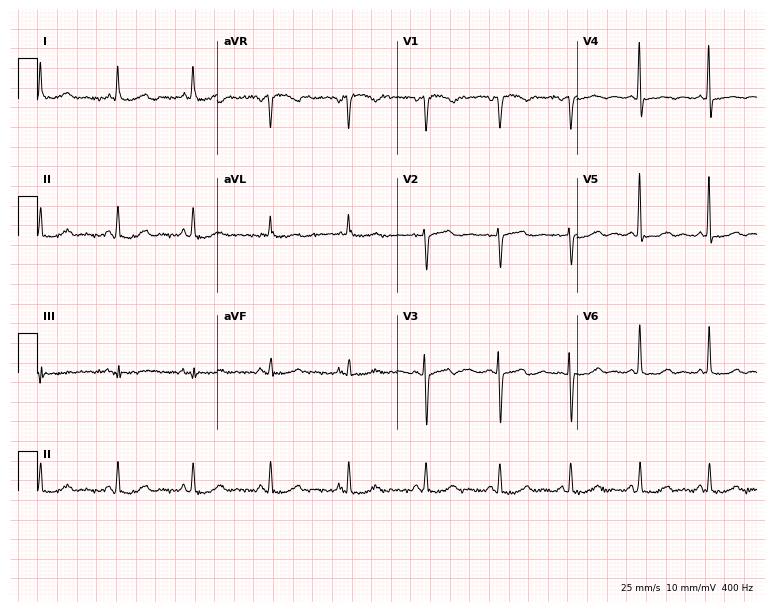
ECG — a female patient, 57 years old. Labelled as a normal ECG.